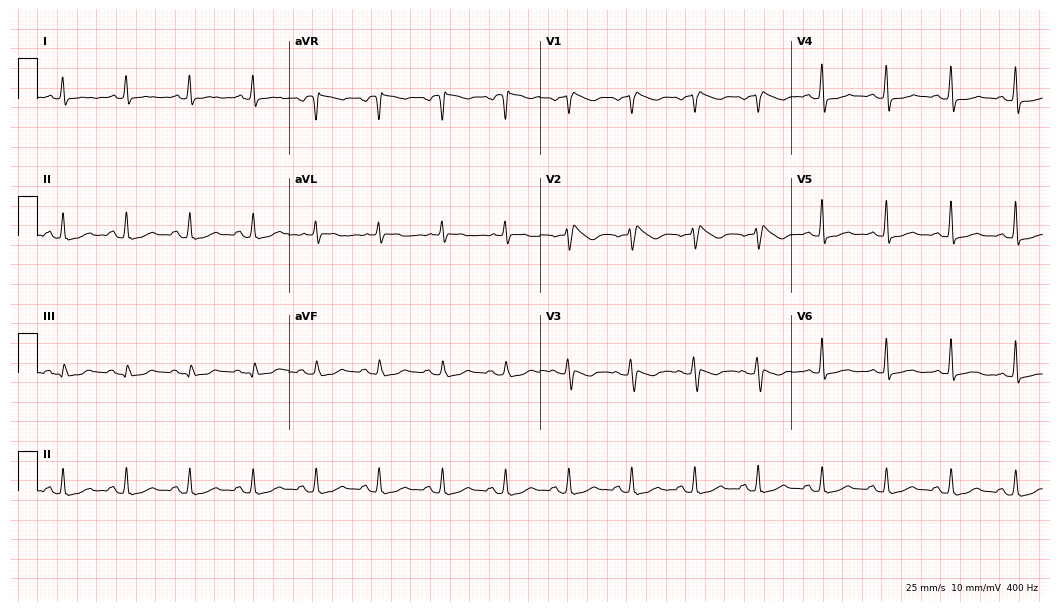
Standard 12-lead ECG recorded from a 58-year-old female. None of these six findings is recorded: first-degree AV block, right bundle branch block, left bundle branch block, sinus bradycardia, atrial fibrillation, sinus tachycardia. Findings outside these six are not listed.